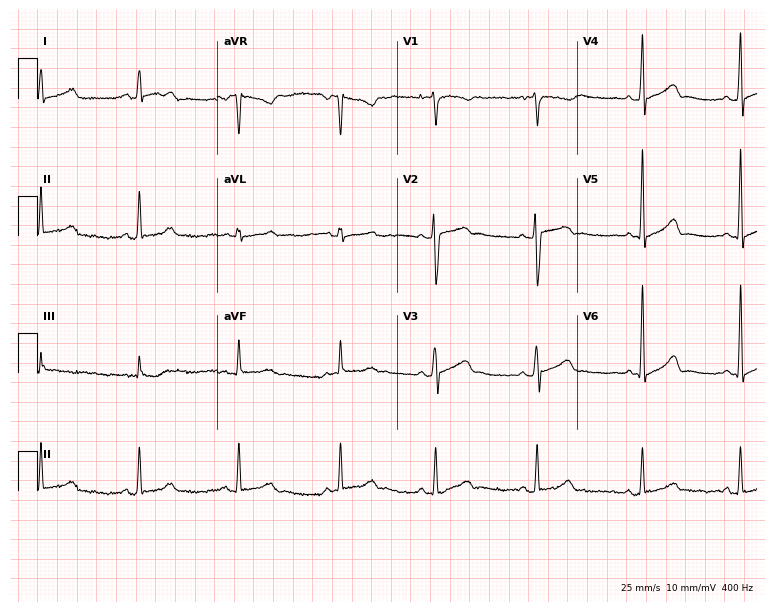
ECG (7.3-second recording at 400 Hz) — a 26-year-old woman. Screened for six findings — first-degree AV block, right bundle branch block, left bundle branch block, sinus bradycardia, atrial fibrillation, sinus tachycardia — none is recorded.